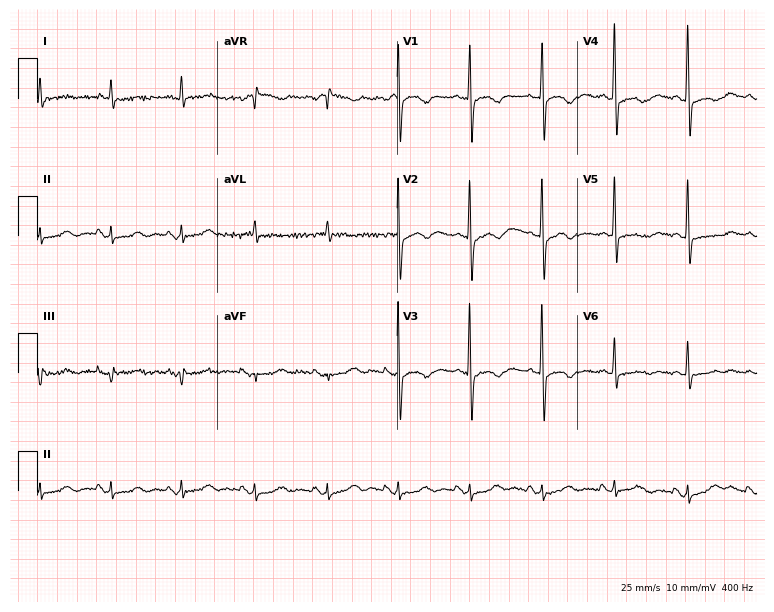
12-lead ECG from a woman, 71 years old (7.3-second recording at 400 Hz). No first-degree AV block, right bundle branch block (RBBB), left bundle branch block (LBBB), sinus bradycardia, atrial fibrillation (AF) or sinus tachycardia recorded for this tracing. Findings outside these six are not listed.